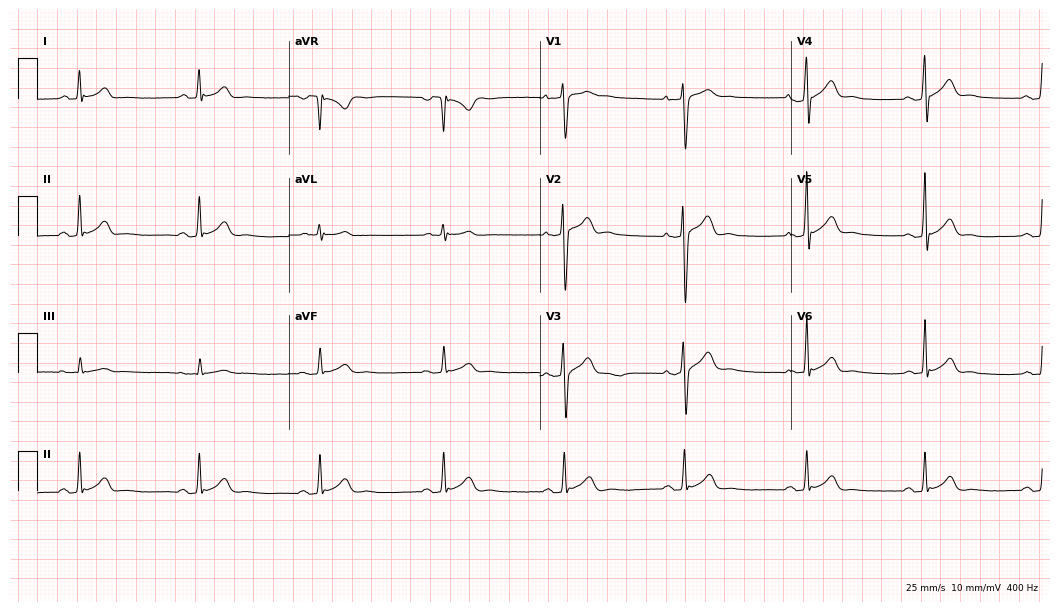
ECG (10.2-second recording at 400 Hz) — a 38-year-old male patient. Findings include sinus bradycardia (a sinus rate of 50 beats per minute or less).